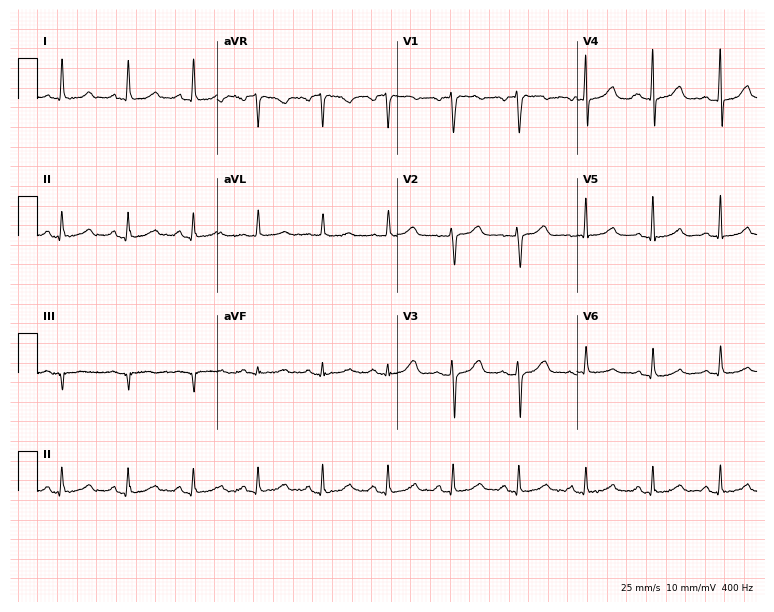
Electrocardiogram (7.3-second recording at 400 Hz), a female, 62 years old. Overall reading on record: normal ECG.